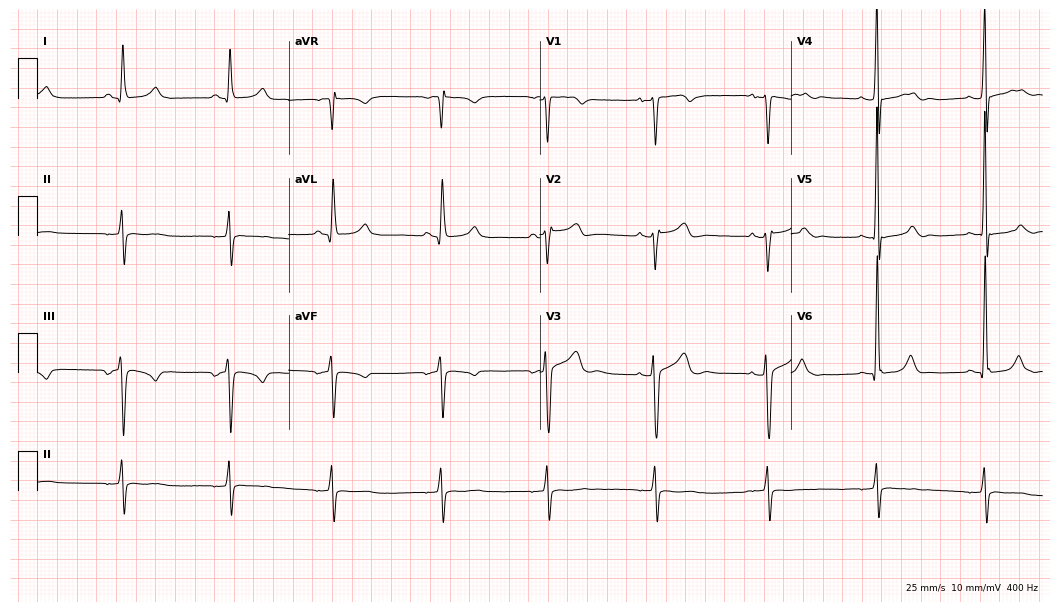
ECG — a 45-year-old male. Screened for six findings — first-degree AV block, right bundle branch block, left bundle branch block, sinus bradycardia, atrial fibrillation, sinus tachycardia — none is recorded. Findings outside these six are not listed.